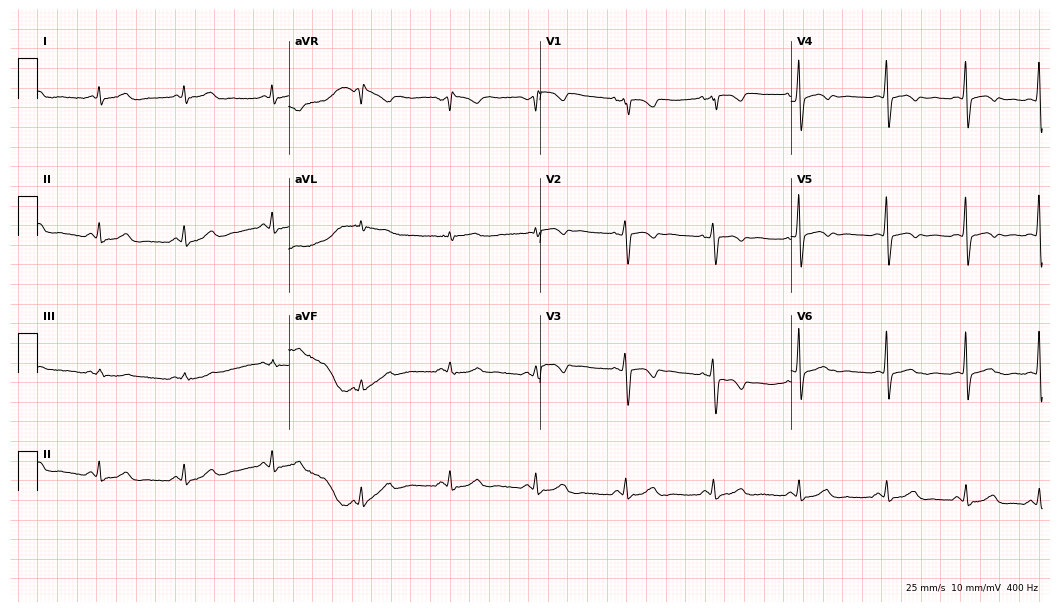
Resting 12-lead electrocardiogram (10.2-second recording at 400 Hz). Patient: a woman, 49 years old. None of these six findings is recorded: first-degree AV block, right bundle branch block, left bundle branch block, sinus bradycardia, atrial fibrillation, sinus tachycardia.